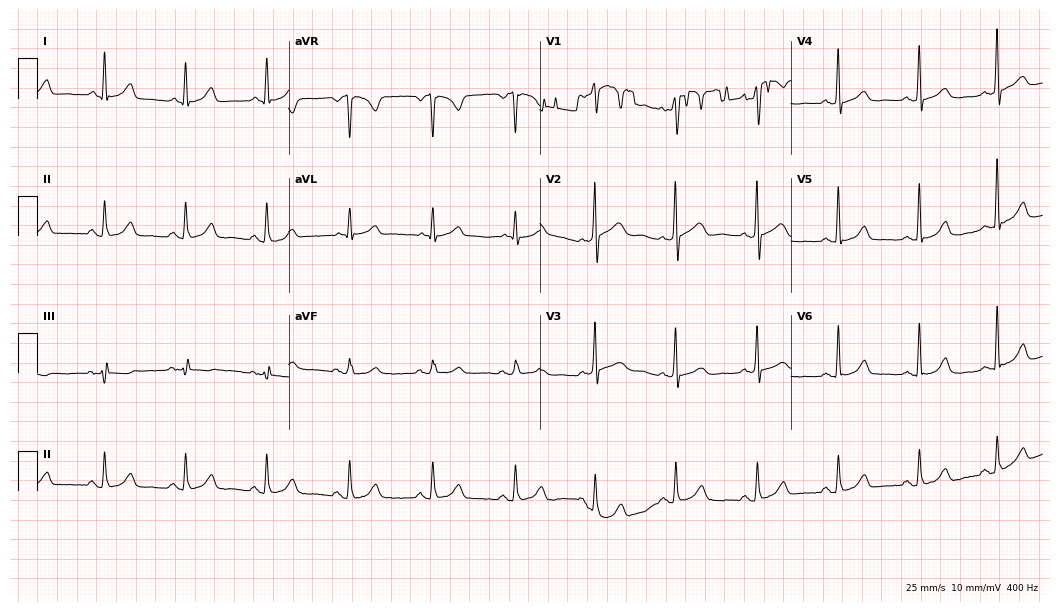
ECG (10.2-second recording at 400 Hz) — a 62-year-old woman. Labelled as a normal ECG.